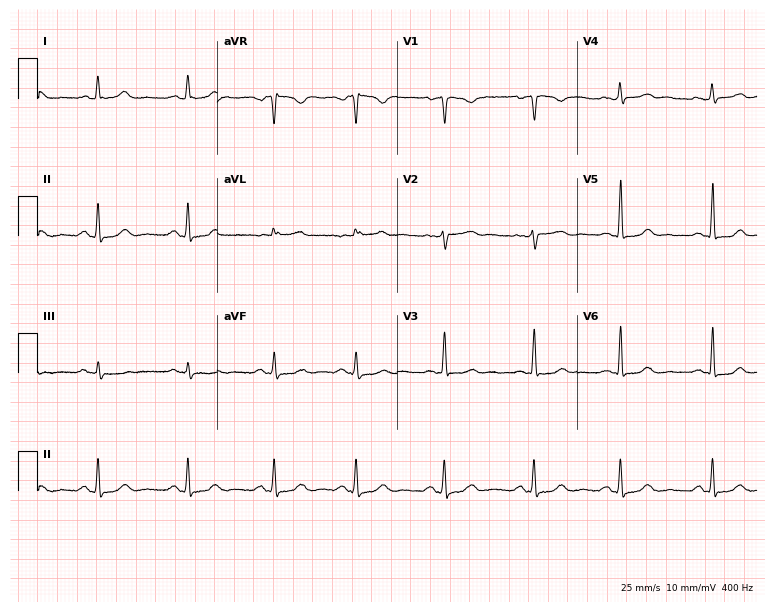
Standard 12-lead ECG recorded from a woman, 41 years old. Read as a normal ECG.